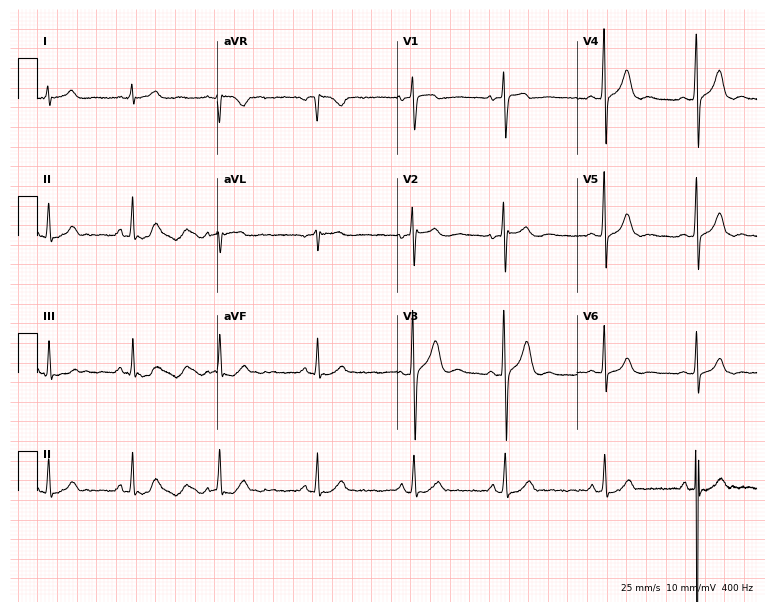
Standard 12-lead ECG recorded from a 21-year-old male patient. Read as a normal ECG.